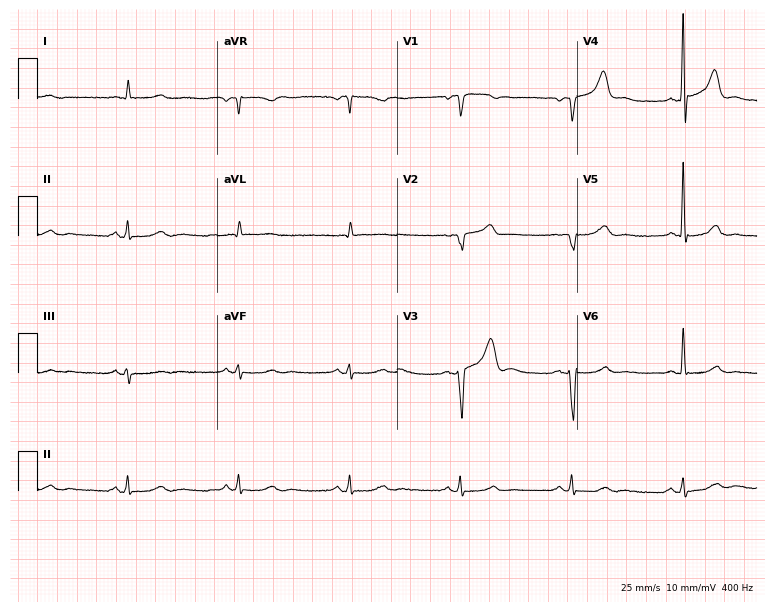
Electrocardiogram, a man, 62 years old. Of the six screened findings (first-degree AV block, right bundle branch block, left bundle branch block, sinus bradycardia, atrial fibrillation, sinus tachycardia), none is recorded. Findings outside these six are not listed.